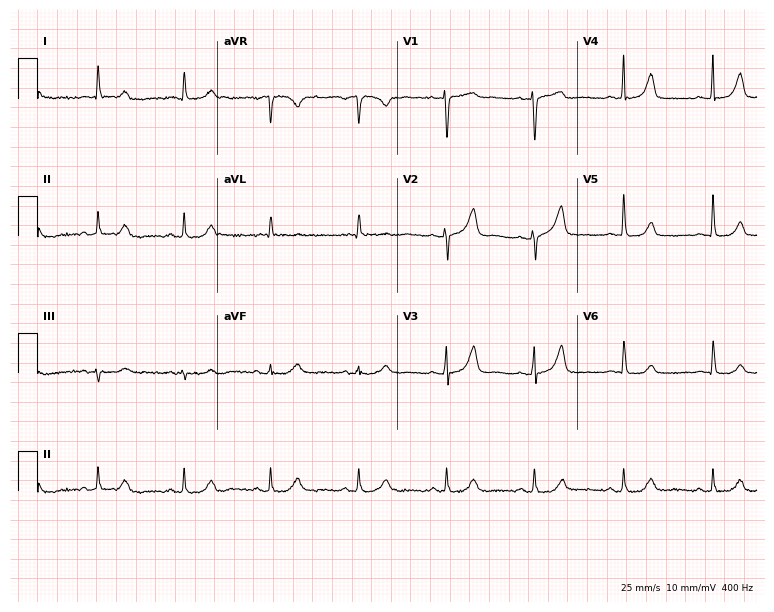
Resting 12-lead electrocardiogram (7.3-second recording at 400 Hz). Patient: a 64-year-old female. None of these six findings is recorded: first-degree AV block, right bundle branch block, left bundle branch block, sinus bradycardia, atrial fibrillation, sinus tachycardia.